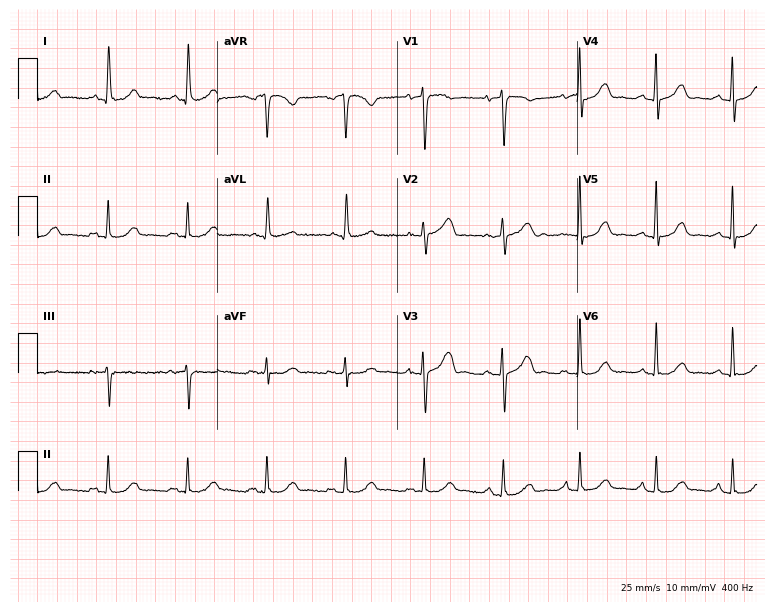
ECG — a female, 79 years old. Labelled as a normal ECG.